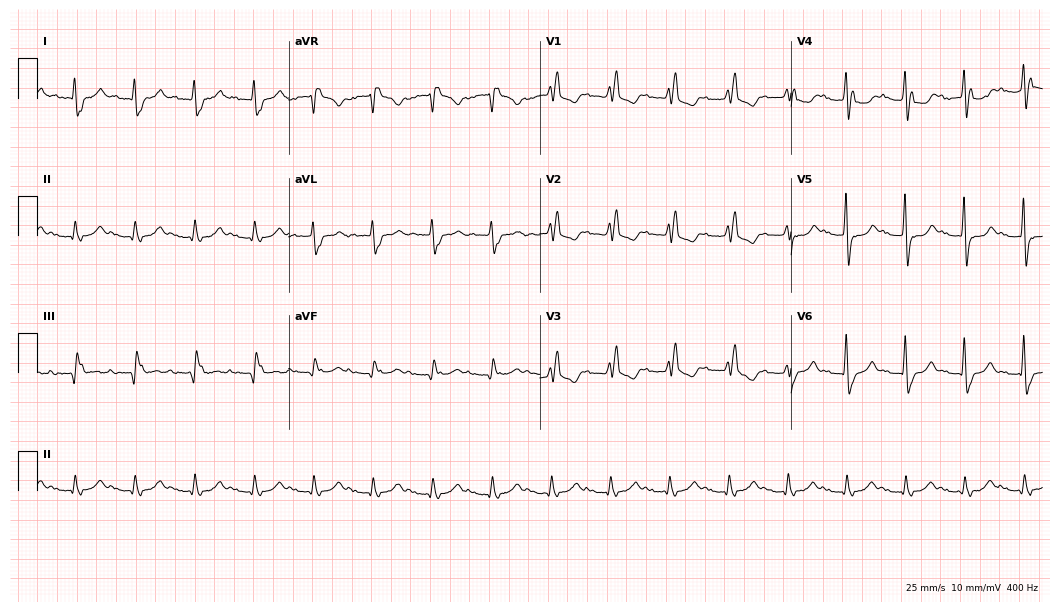
ECG (10.2-second recording at 400 Hz) — an 84-year-old man. Findings include first-degree AV block, right bundle branch block (RBBB).